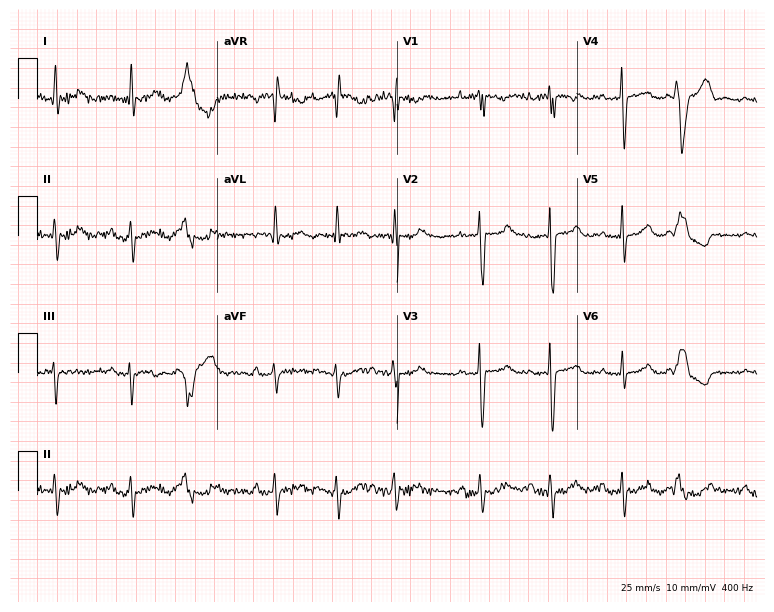
ECG — a female patient, 84 years old. Screened for six findings — first-degree AV block, right bundle branch block, left bundle branch block, sinus bradycardia, atrial fibrillation, sinus tachycardia — none is recorded.